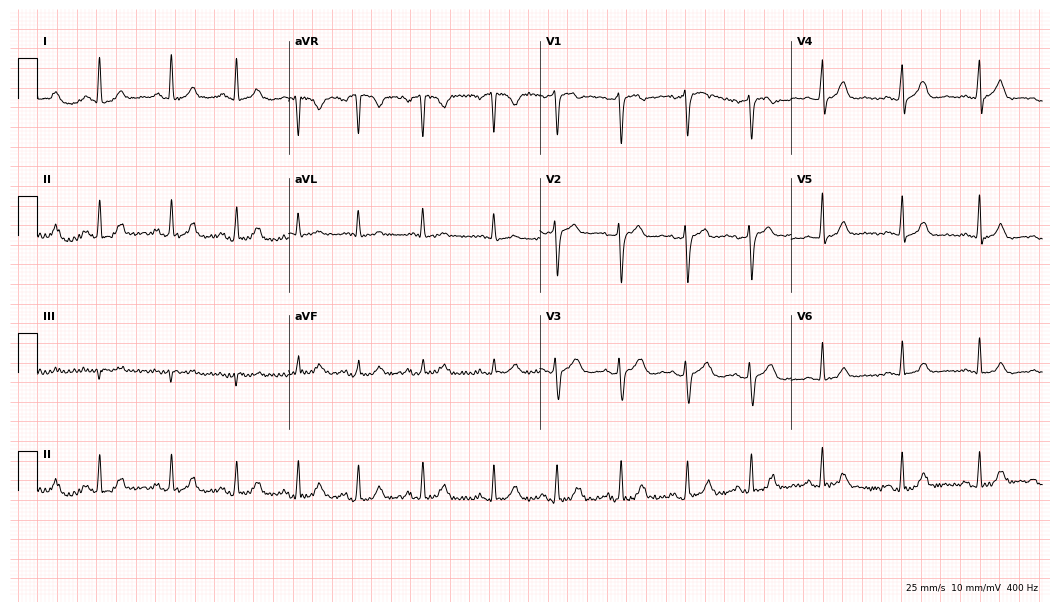
12-lead ECG from a 36-year-old female. Recorded interpretation: within normal limits.